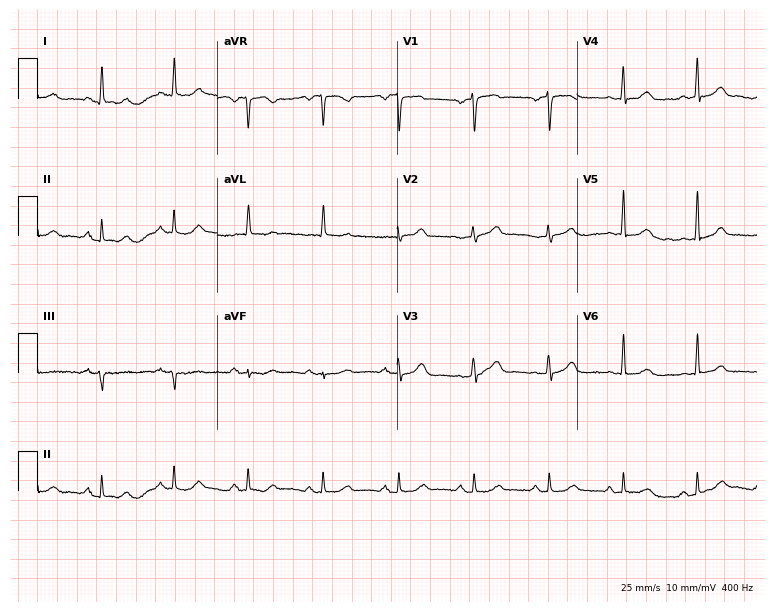
12-lead ECG (7.3-second recording at 400 Hz) from a 79-year-old female. Labelled as a normal ECG.